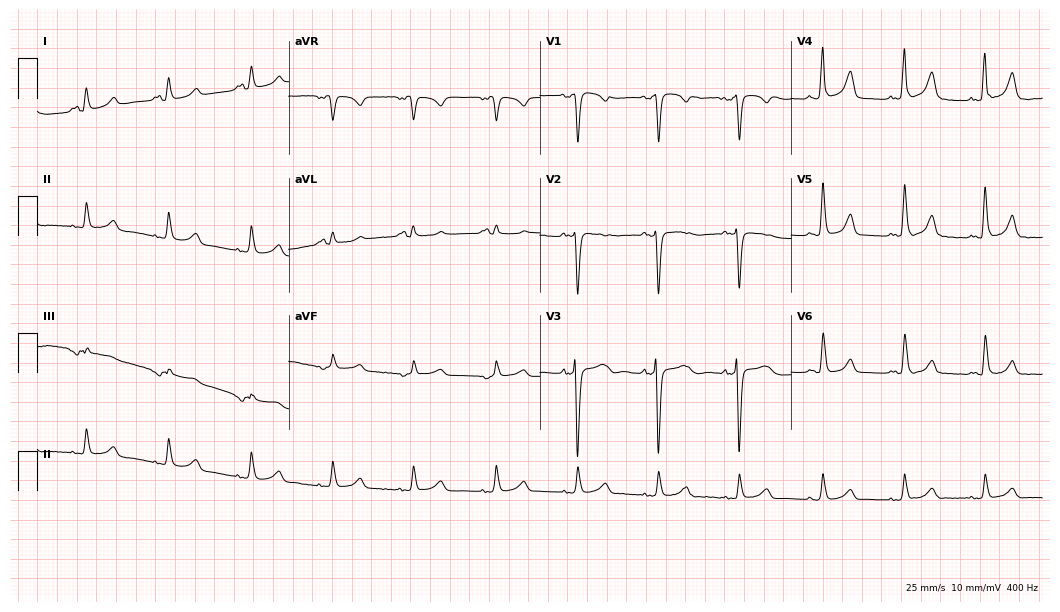
Resting 12-lead electrocardiogram. Patient: a male, 49 years old. None of these six findings is recorded: first-degree AV block, right bundle branch block (RBBB), left bundle branch block (LBBB), sinus bradycardia, atrial fibrillation (AF), sinus tachycardia.